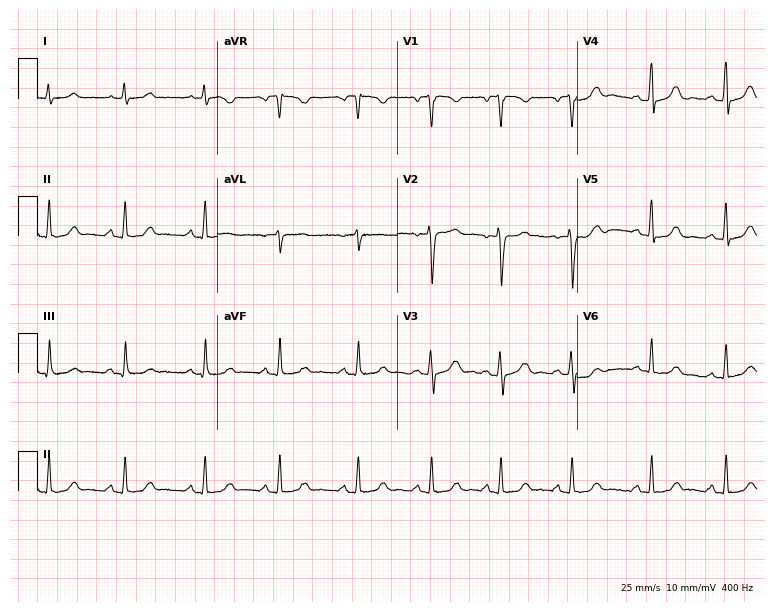
ECG — a female, 27 years old. Labelled as a normal ECG.